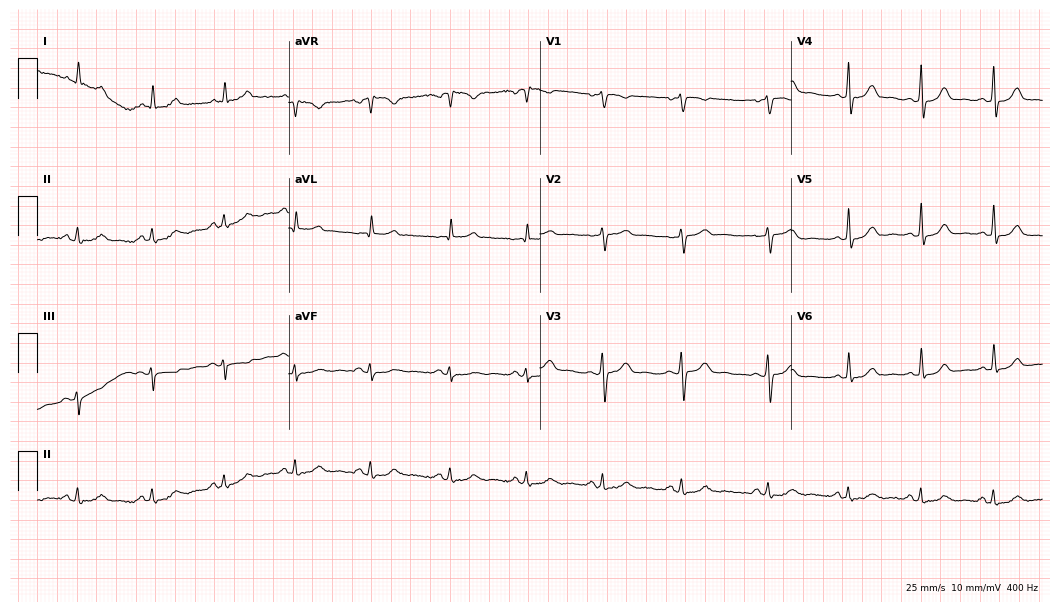
12-lead ECG (10.2-second recording at 400 Hz) from a 48-year-old female patient. Labelled as a normal ECG.